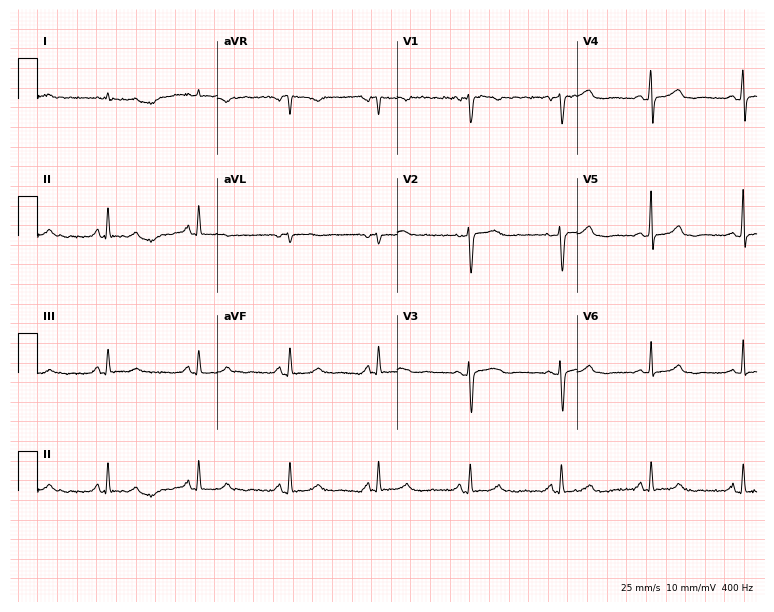
12-lead ECG from a 77-year-old female patient. No first-degree AV block, right bundle branch block, left bundle branch block, sinus bradycardia, atrial fibrillation or sinus tachycardia recorded for this tracing.